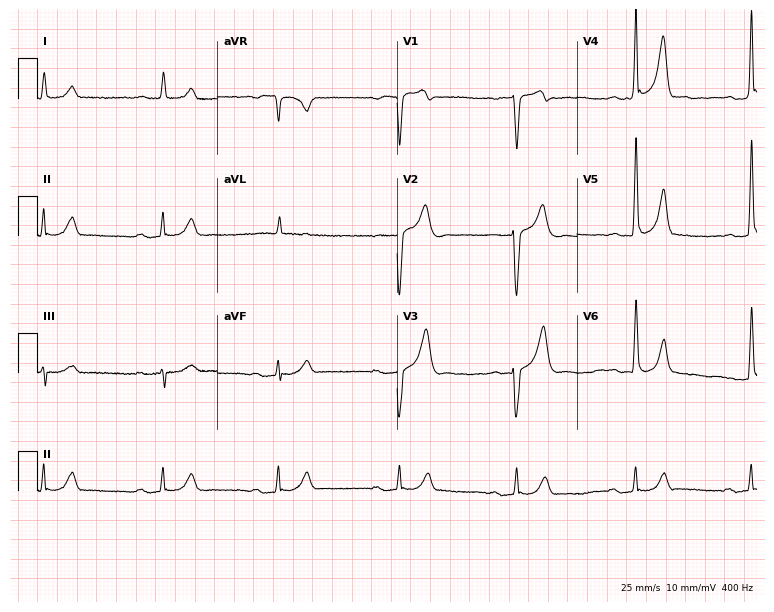
ECG (7.3-second recording at 400 Hz) — a 78-year-old male patient. Screened for six findings — first-degree AV block, right bundle branch block, left bundle branch block, sinus bradycardia, atrial fibrillation, sinus tachycardia — none is recorded.